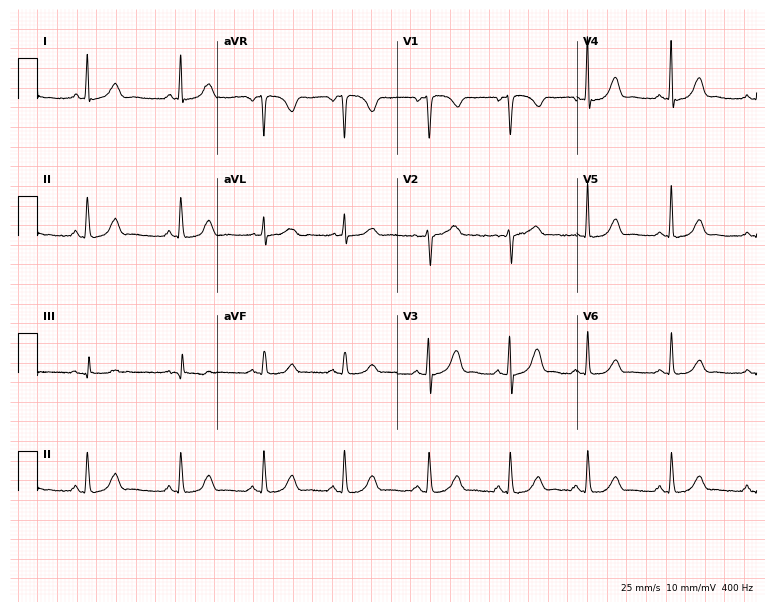
Electrocardiogram (7.3-second recording at 400 Hz), a woman, 40 years old. Overall reading on record: normal ECG.